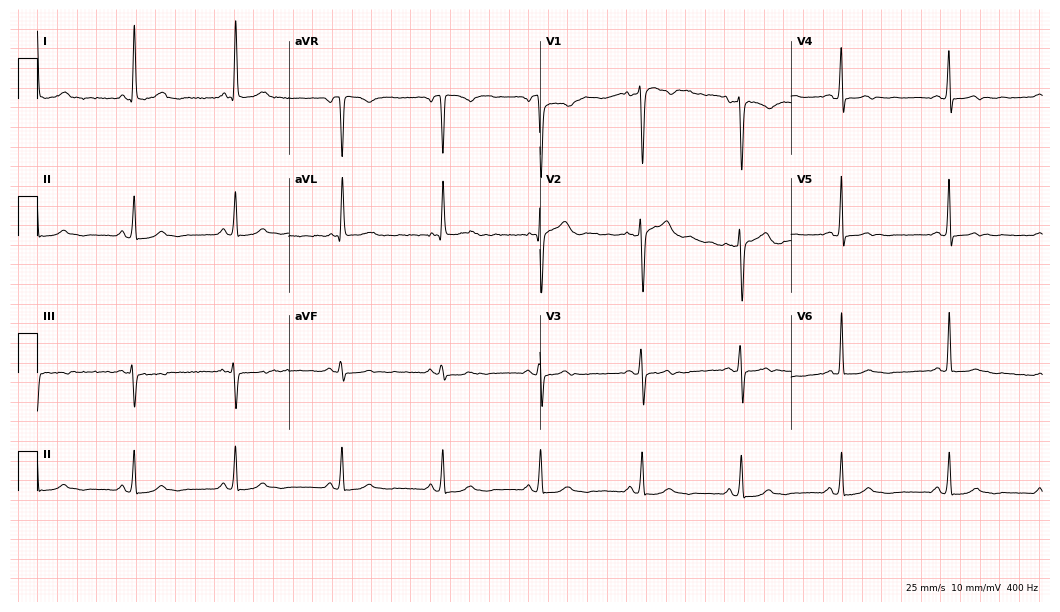
ECG — a female patient, 53 years old. Screened for six findings — first-degree AV block, right bundle branch block, left bundle branch block, sinus bradycardia, atrial fibrillation, sinus tachycardia — none is recorded.